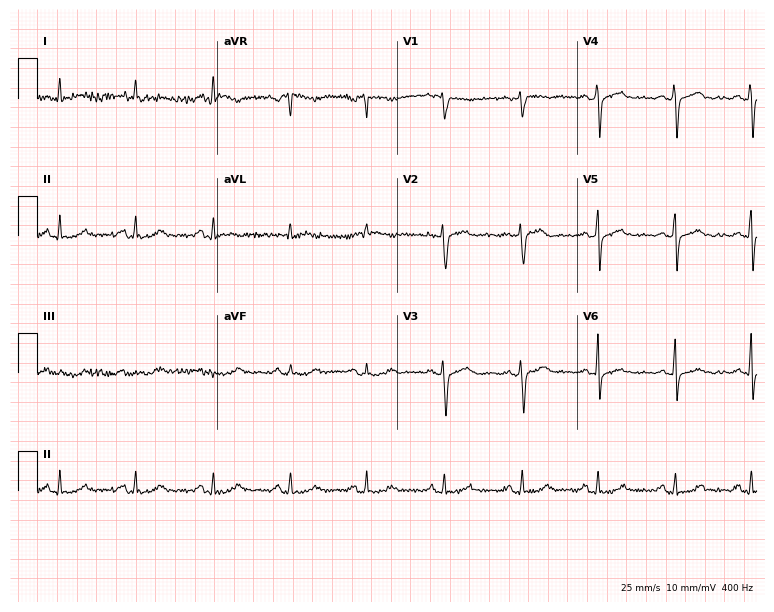
Standard 12-lead ECG recorded from a female, 71 years old. Read as a normal ECG.